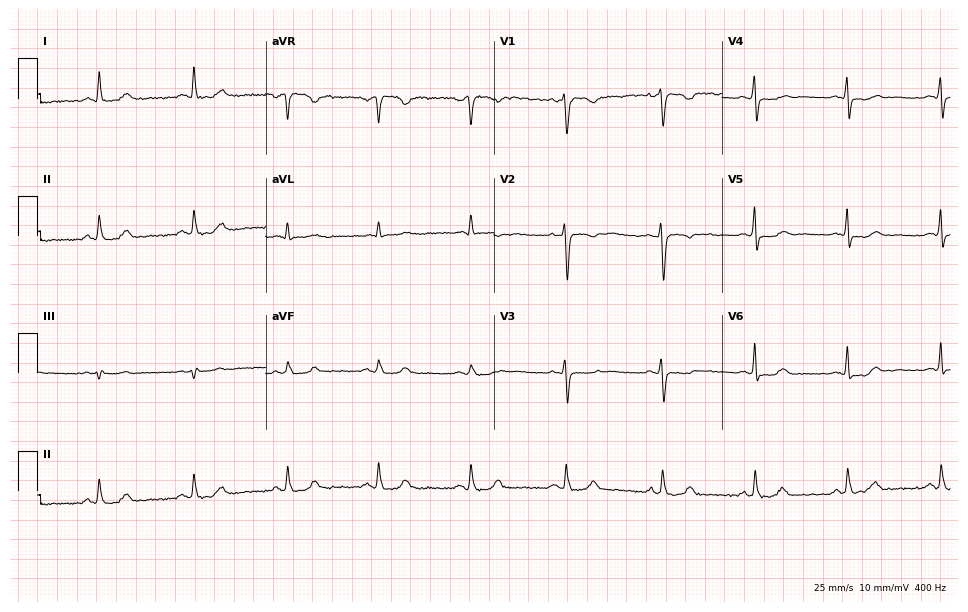
Electrocardiogram (9.3-second recording at 400 Hz), a 43-year-old woman. Of the six screened findings (first-degree AV block, right bundle branch block, left bundle branch block, sinus bradycardia, atrial fibrillation, sinus tachycardia), none is recorded. Findings outside these six are not listed.